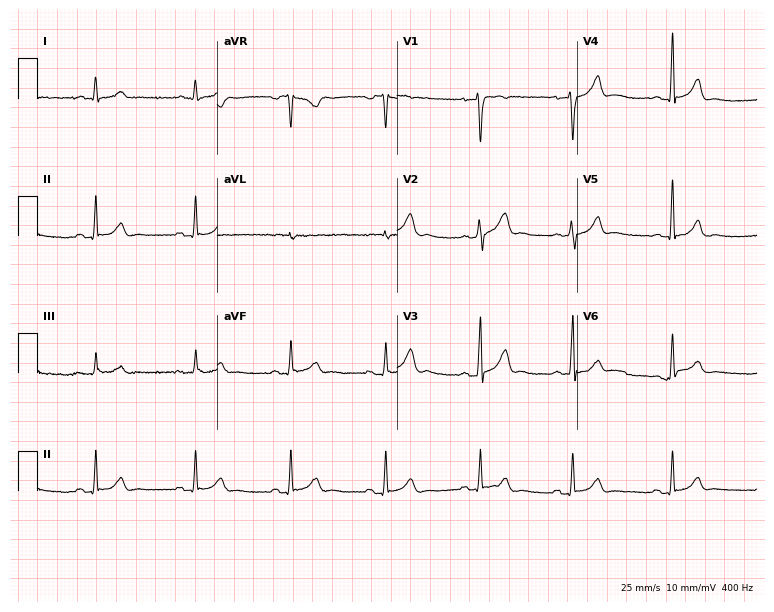
Standard 12-lead ECG recorded from a male patient, 49 years old. Read as a normal ECG.